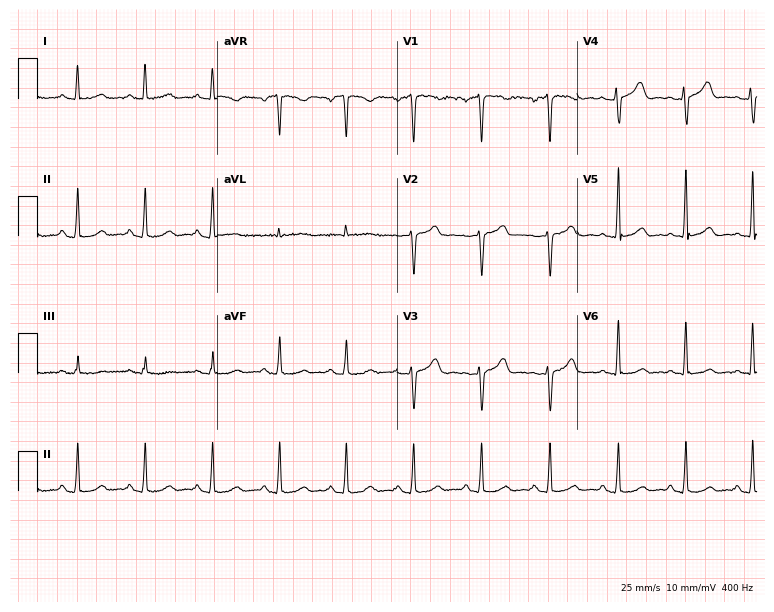
Electrocardiogram, a 53-year-old male. Of the six screened findings (first-degree AV block, right bundle branch block (RBBB), left bundle branch block (LBBB), sinus bradycardia, atrial fibrillation (AF), sinus tachycardia), none is recorded. Findings outside these six are not listed.